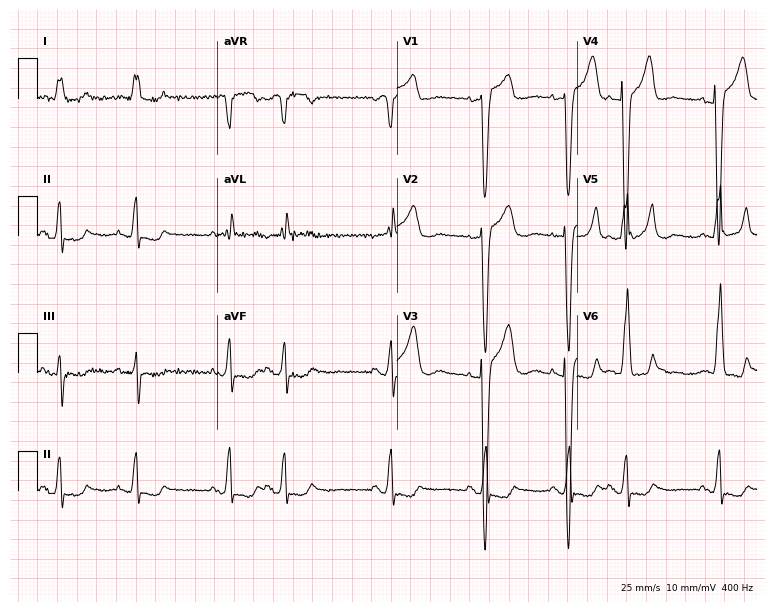
Standard 12-lead ECG recorded from a female patient, 85 years old. The tracing shows left bundle branch block.